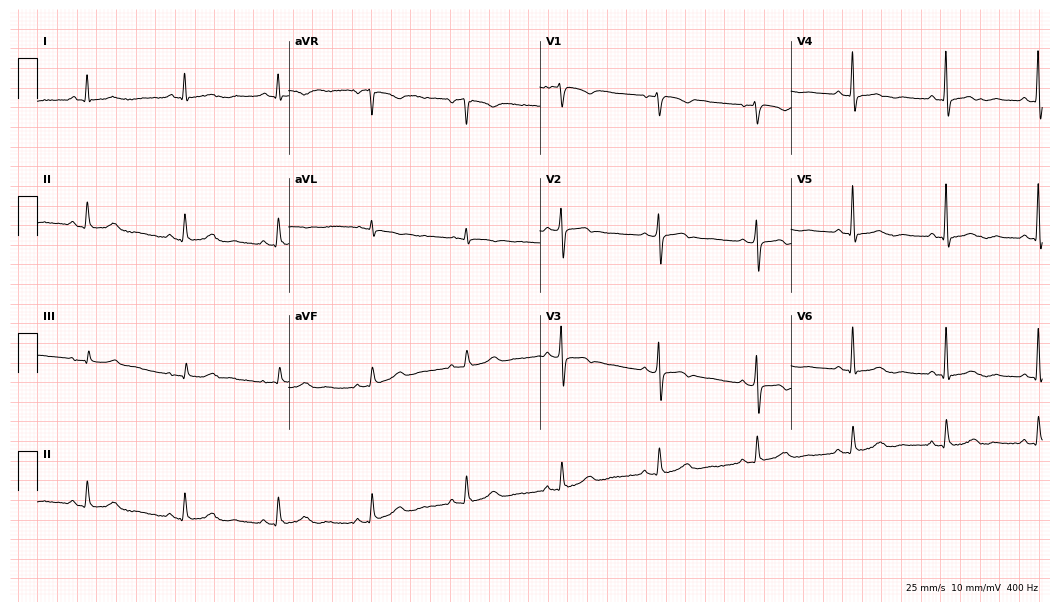
Standard 12-lead ECG recorded from a woman, 56 years old. None of these six findings is recorded: first-degree AV block, right bundle branch block, left bundle branch block, sinus bradycardia, atrial fibrillation, sinus tachycardia.